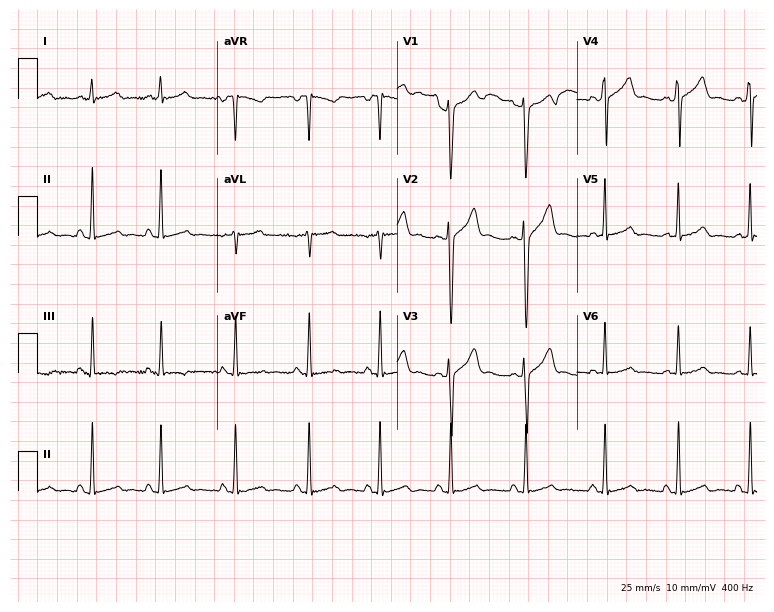
12-lead ECG from a 42-year-old male patient. Recorded interpretation: within normal limits.